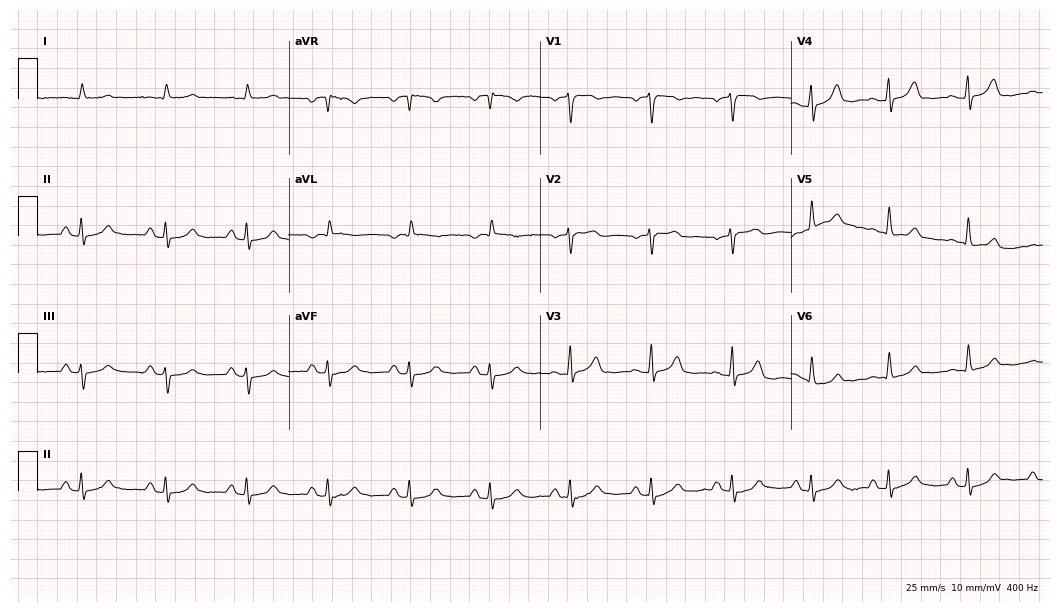
Standard 12-lead ECG recorded from a man, 78 years old (10.2-second recording at 400 Hz). Read as a normal ECG.